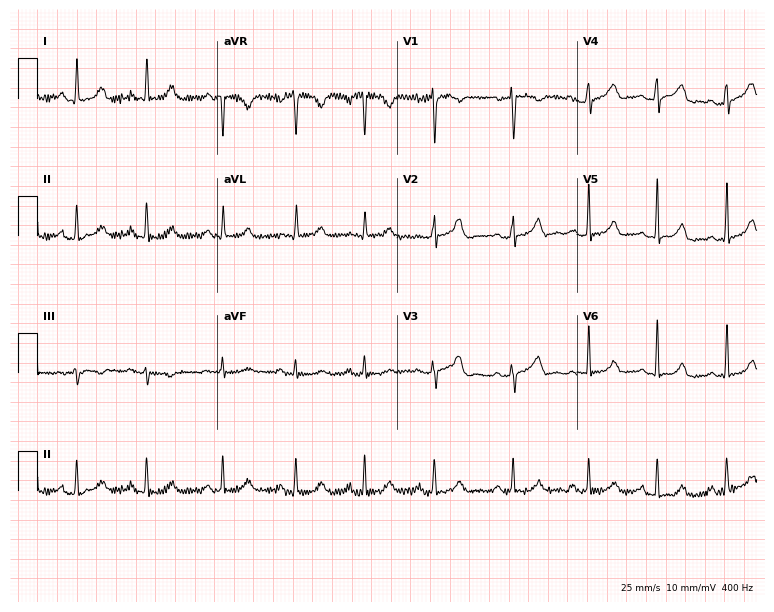
Resting 12-lead electrocardiogram. Patient: a female, 38 years old. None of these six findings is recorded: first-degree AV block, right bundle branch block, left bundle branch block, sinus bradycardia, atrial fibrillation, sinus tachycardia.